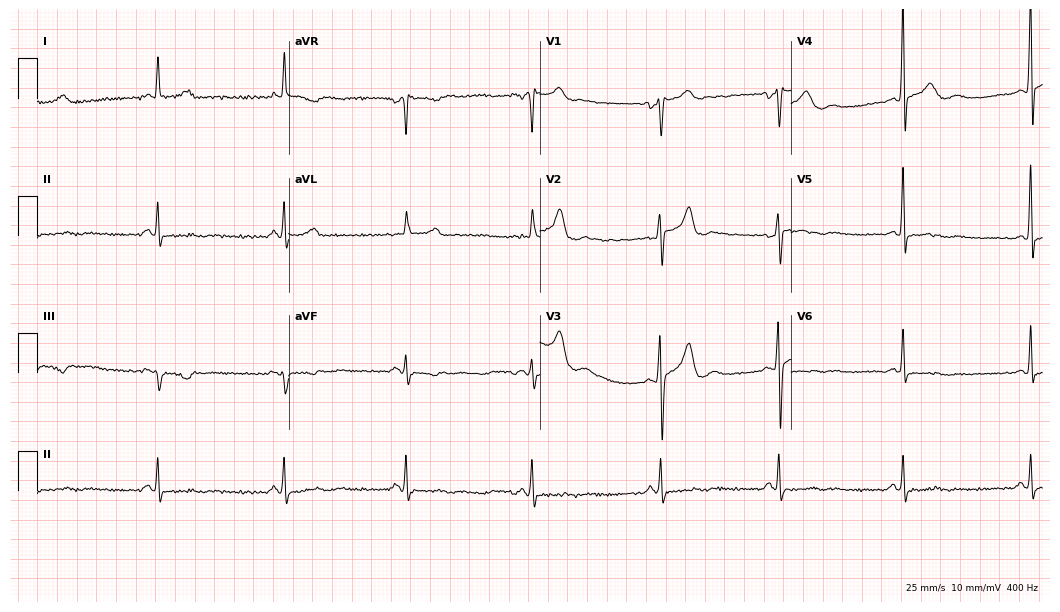
Resting 12-lead electrocardiogram (10.2-second recording at 400 Hz). Patient: a 57-year-old male. The tracing shows sinus bradycardia (a sinus rate of 50 beats per minute or less).